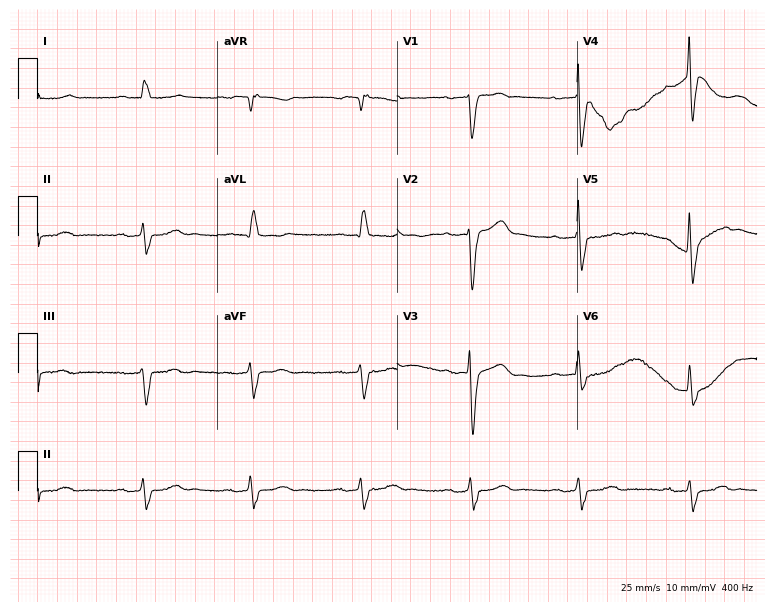
ECG — a 78-year-old male patient. Findings include first-degree AV block, left bundle branch block.